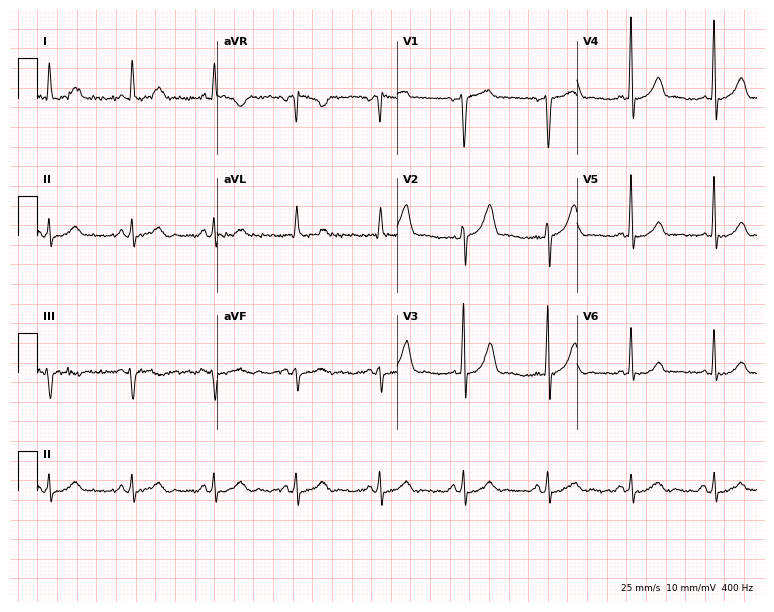
Resting 12-lead electrocardiogram. Patient: a male, 58 years old. Read as a normal ECG.